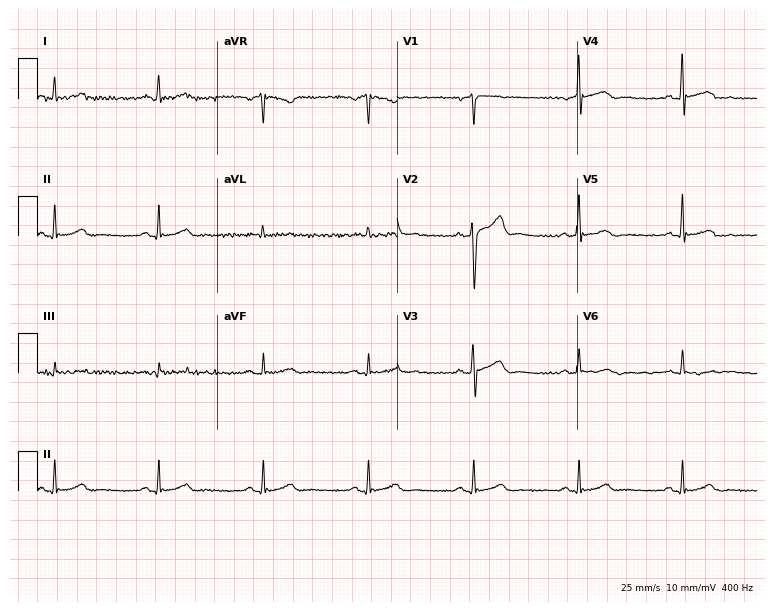
Electrocardiogram, a man, 55 years old. Of the six screened findings (first-degree AV block, right bundle branch block (RBBB), left bundle branch block (LBBB), sinus bradycardia, atrial fibrillation (AF), sinus tachycardia), none is recorded.